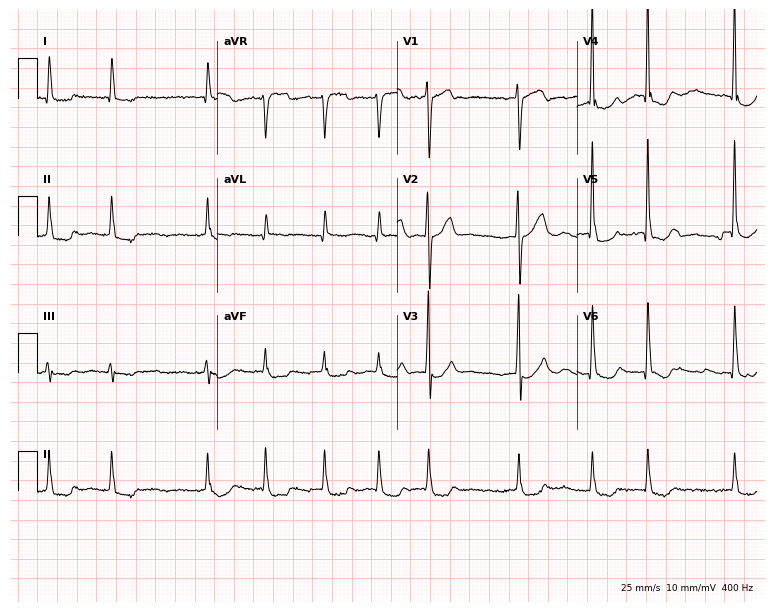
Standard 12-lead ECG recorded from a male, 85 years old. The tracing shows atrial fibrillation.